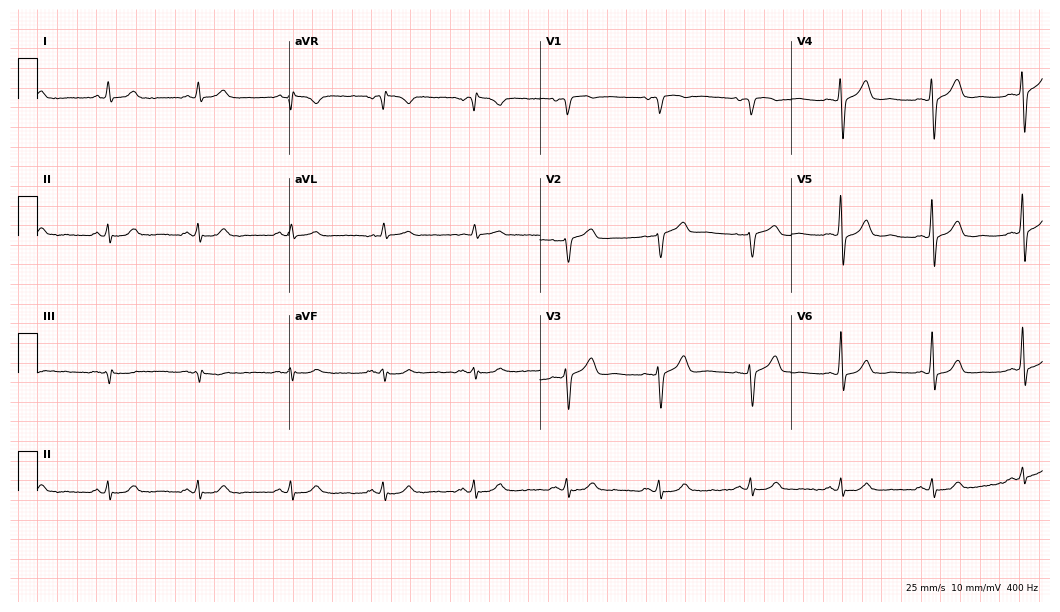
Electrocardiogram (10.2-second recording at 400 Hz), a 69-year-old male patient. Overall reading on record: normal ECG.